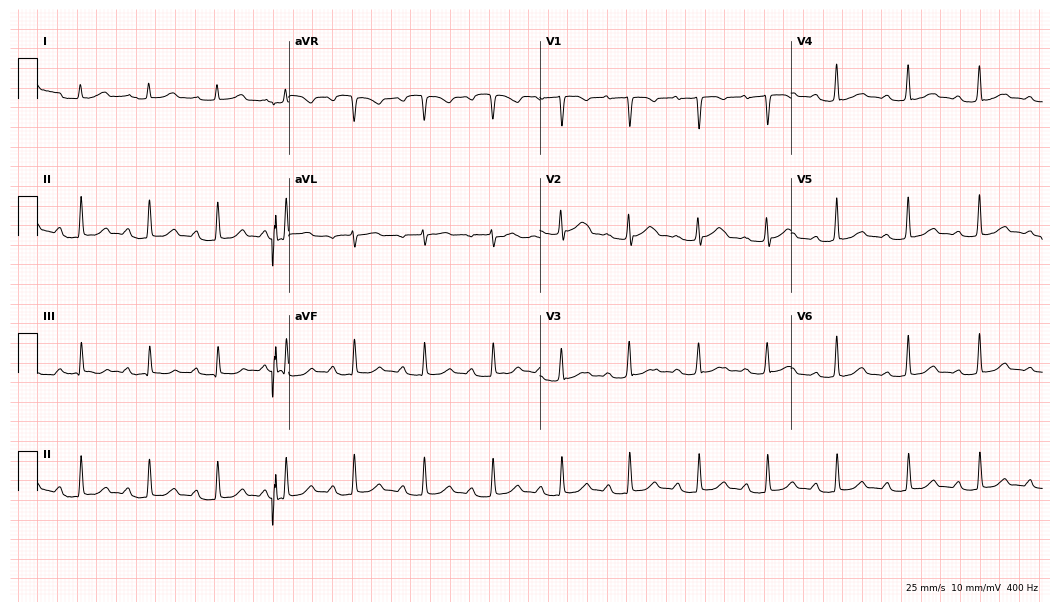
Electrocardiogram, a 56-year-old female. Of the six screened findings (first-degree AV block, right bundle branch block, left bundle branch block, sinus bradycardia, atrial fibrillation, sinus tachycardia), none is recorded. Findings outside these six are not listed.